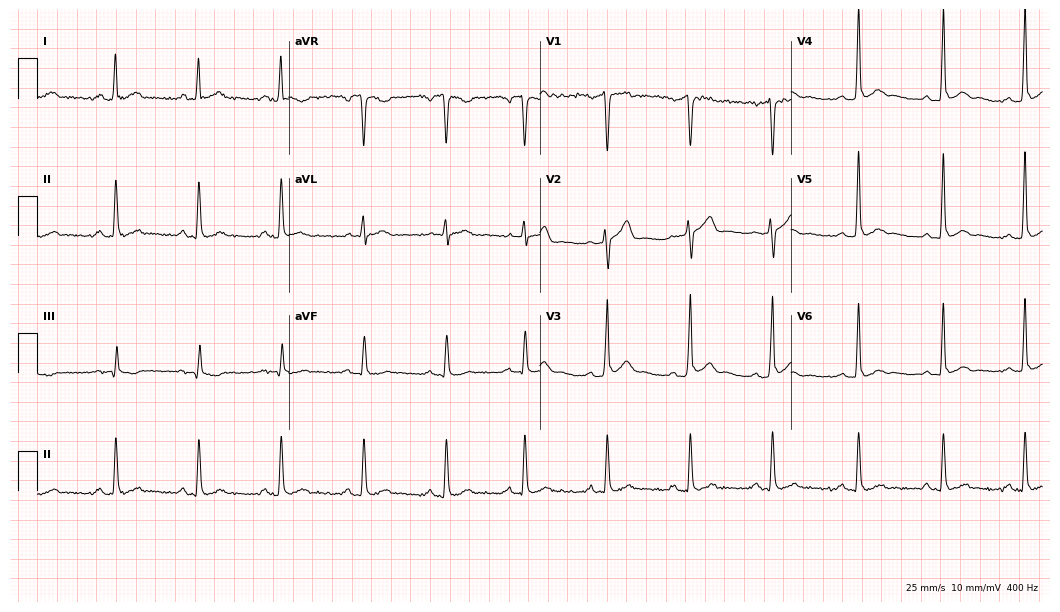
12-lead ECG from a 37-year-old male patient (10.2-second recording at 400 Hz). Recorded interpretation: within normal limits.